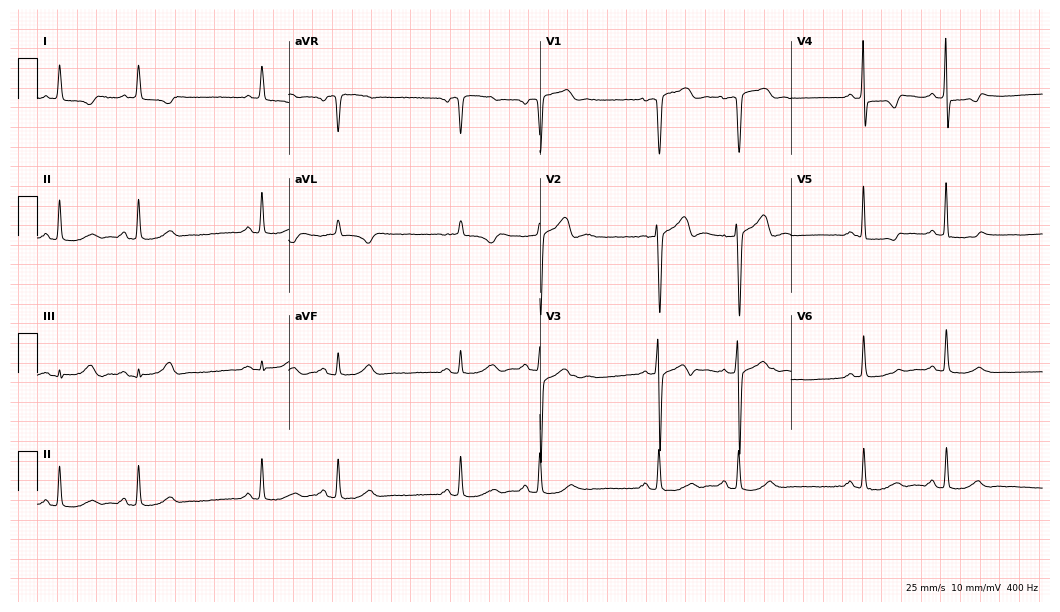
Standard 12-lead ECG recorded from a 72-year-old male patient (10.2-second recording at 400 Hz). None of these six findings is recorded: first-degree AV block, right bundle branch block, left bundle branch block, sinus bradycardia, atrial fibrillation, sinus tachycardia. Findings outside these six are not listed.